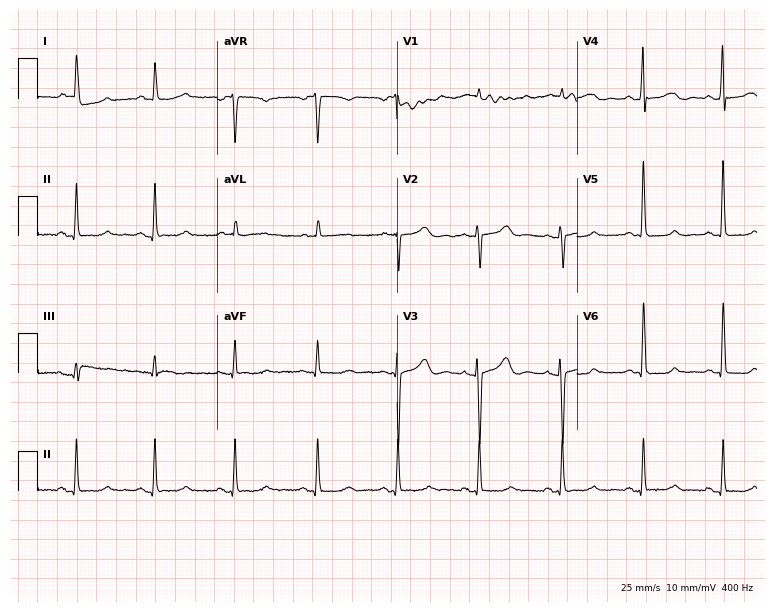
12-lead ECG from a woman, 47 years old (7.3-second recording at 400 Hz). Recorded interpretation: within normal limits.